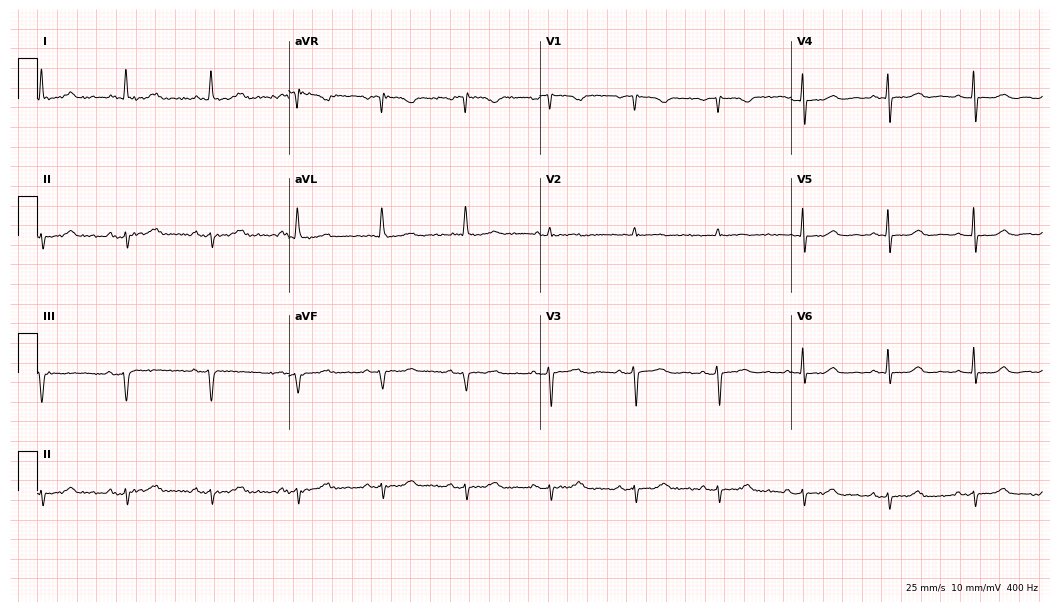
Resting 12-lead electrocardiogram (10.2-second recording at 400 Hz). Patient: an 85-year-old woman. None of these six findings is recorded: first-degree AV block, right bundle branch block, left bundle branch block, sinus bradycardia, atrial fibrillation, sinus tachycardia.